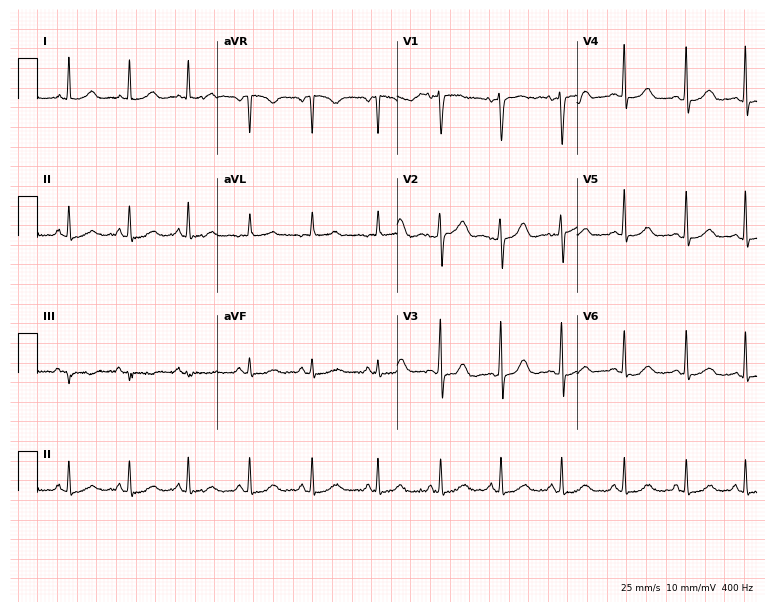
ECG — a female patient, 51 years old. Labelled as a normal ECG.